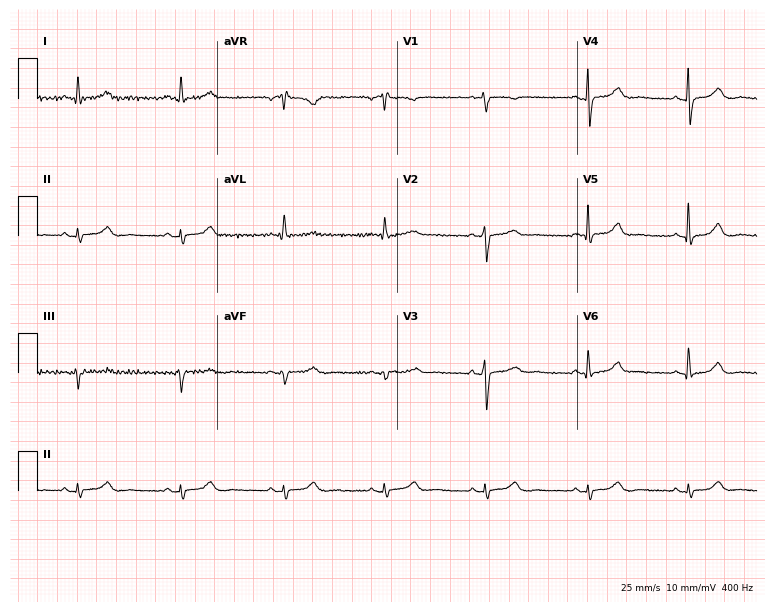
Electrocardiogram (7.3-second recording at 400 Hz), a female, 75 years old. Of the six screened findings (first-degree AV block, right bundle branch block, left bundle branch block, sinus bradycardia, atrial fibrillation, sinus tachycardia), none is recorded. Findings outside these six are not listed.